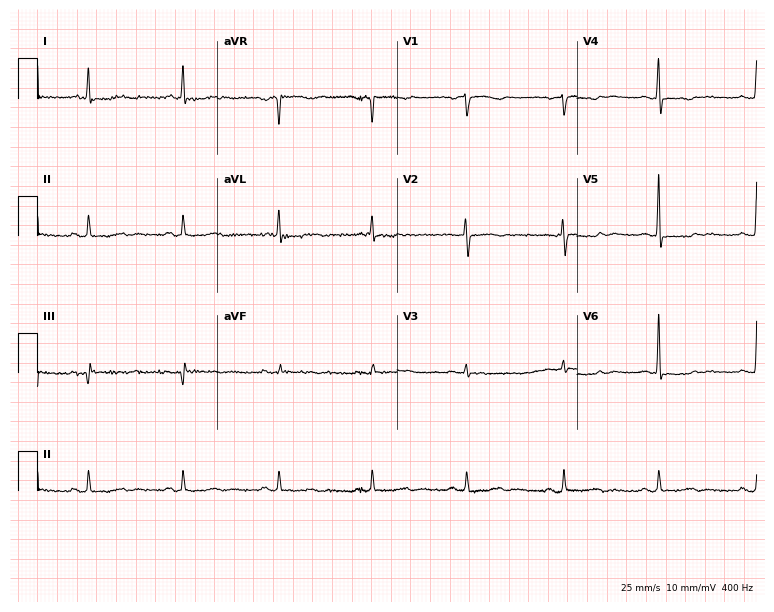
Standard 12-lead ECG recorded from a female patient, 63 years old. None of these six findings is recorded: first-degree AV block, right bundle branch block (RBBB), left bundle branch block (LBBB), sinus bradycardia, atrial fibrillation (AF), sinus tachycardia.